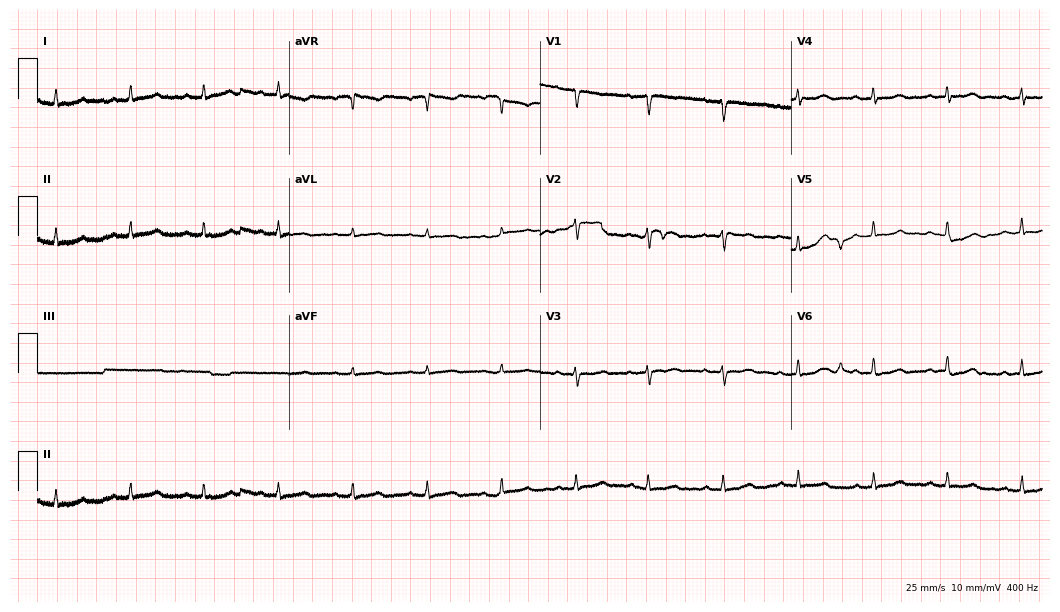
Electrocardiogram (10.2-second recording at 400 Hz), a 60-year-old female. Of the six screened findings (first-degree AV block, right bundle branch block, left bundle branch block, sinus bradycardia, atrial fibrillation, sinus tachycardia), none is recorded. Other findings, if any, are not listed.